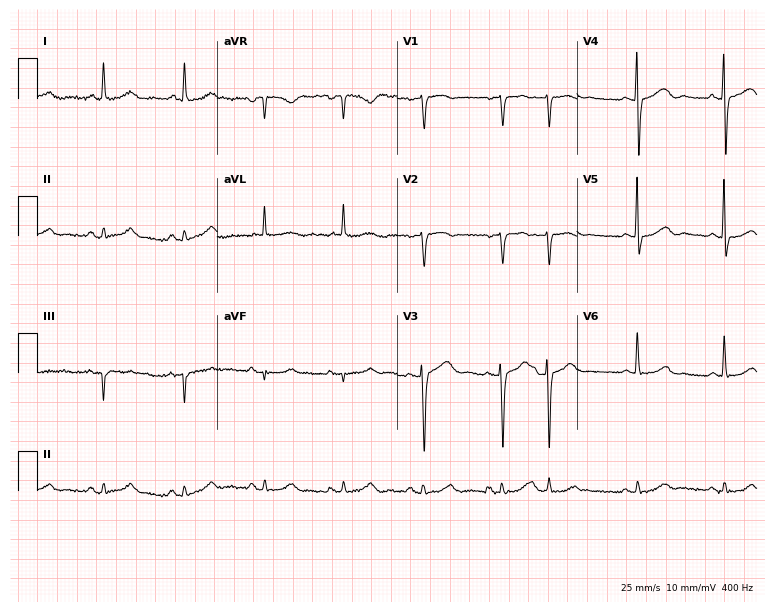
Resting 12-lead electrocardiogram. Patient: a 75-year-old female. Read as a normal ECG.